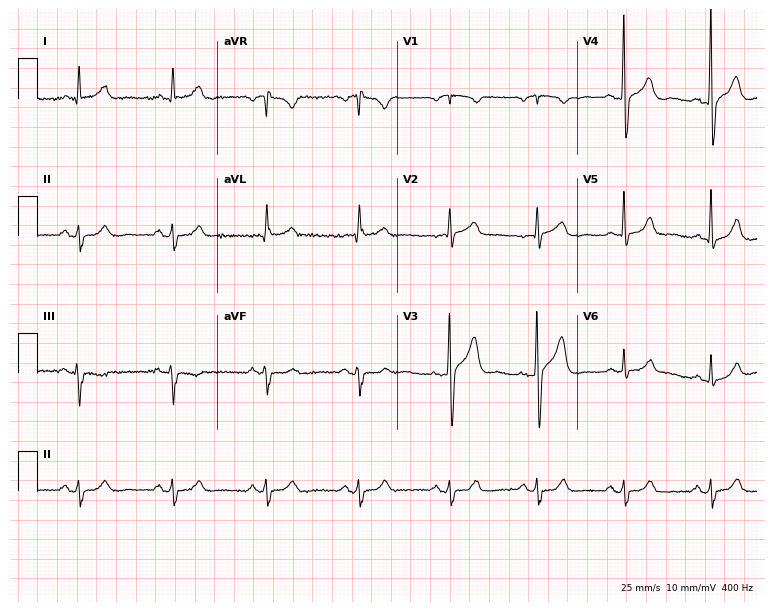
12-lead ECG (7.3-second recording at 400 Hz) from a 76-year-old male. Screened for six findings — first-degree AV block, right bundle branch block, left bundle branch block, sinus bradycardia, atrial fibrillation, sinus tachycardia — none is recorded.